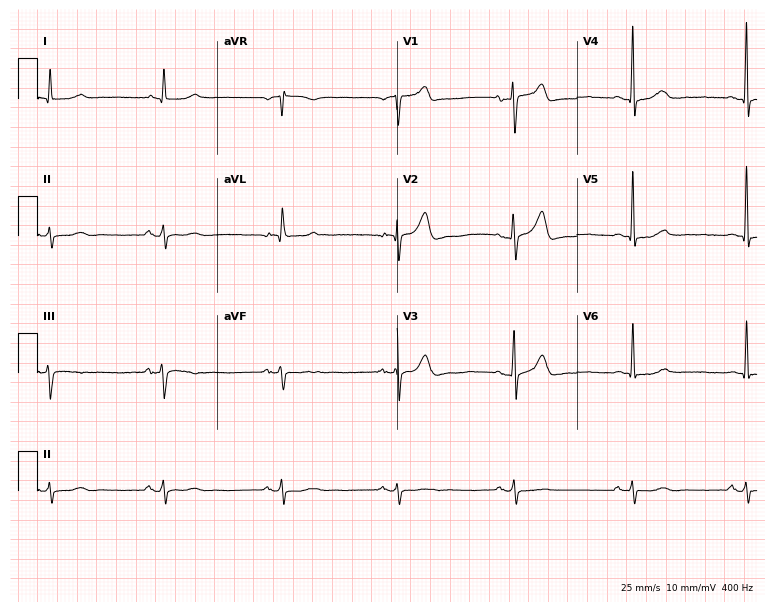
Electrocardiogram, a male, 68 years old. Of the six screened findings (first-degree AV block, right bundle branch block, left bundle branch block, sinus bradycardia, atrial fibrillation, sinus tachycardia), none is recorded.